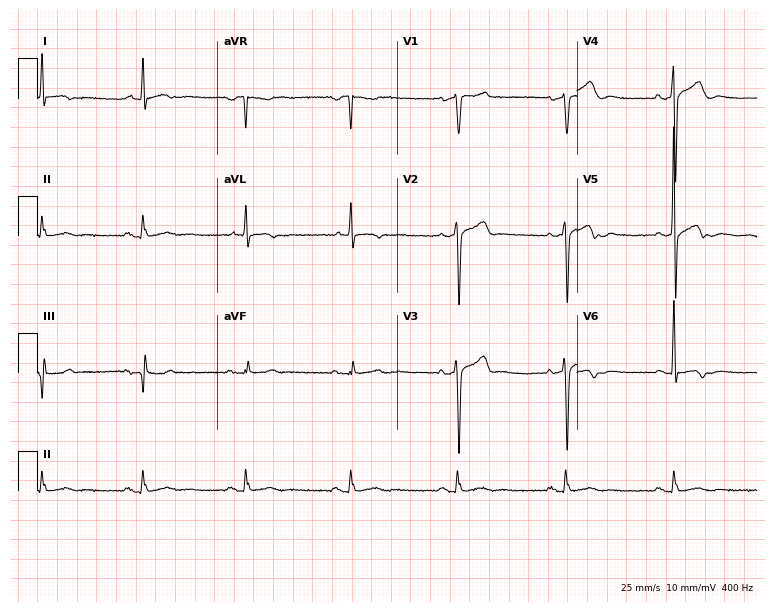
Electrocardiogram (7.3-second recording at 400 Hz), a 67-year-old male. Of the six screened findings (first-degree AV block, right bundle branch block, left bundle branch block, sinus bradycardia, atrial fibrillation, sinus tachycardia), none is recorded. Other findings, if any, are not listed.